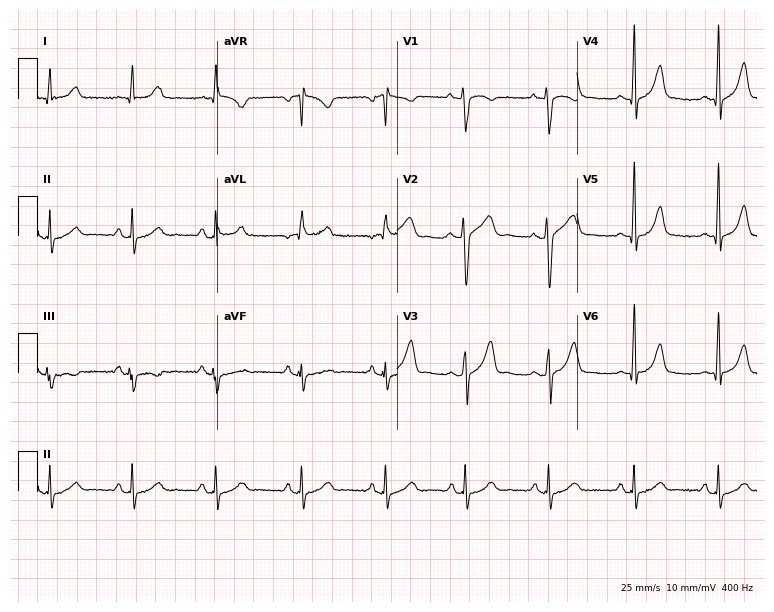
12-lead ECG from a woman, 62 years old. Screened for six findings — first-degree AV block, right bundle branch block, left bundle branch block, sinus bradycardia, atrial fibrillation, sinus tachycardia — none is recorded. Only these six findings were labelled.